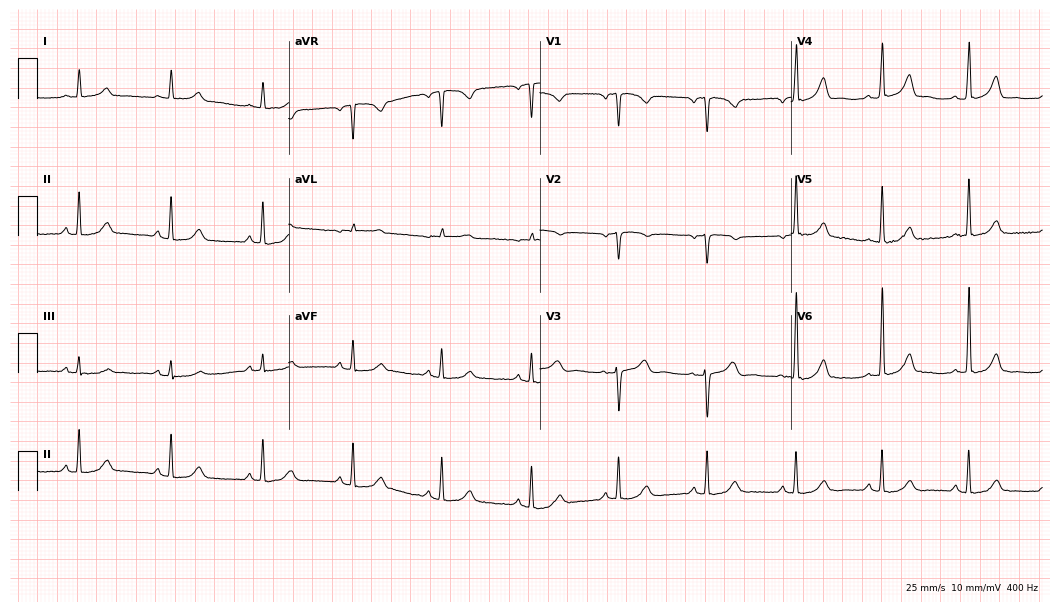
Electrocardiogram, a 40-year-old woman. Overall reading on record: normal ECG.